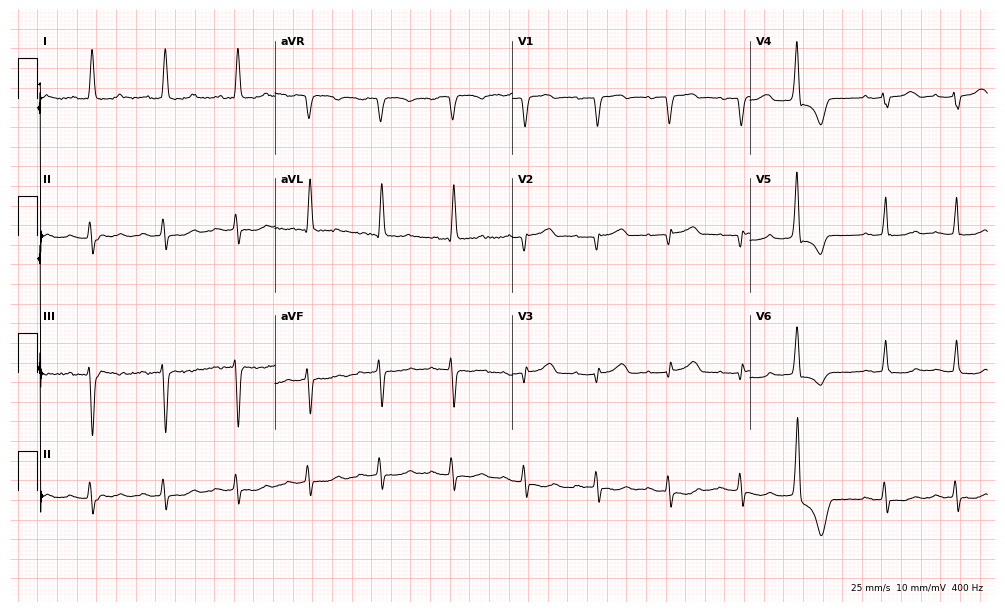
Standard 12-lead ECG recorded from a female patient, 72 years old (9.7-second recording at 400 Hz). None of these six findings is recorded: first-degree AV block, right bundle branch block, left bundle branch block, sinus bradycardia, atrial fibrillation, sinus tachycardia. Other findings, if any, are not listed.